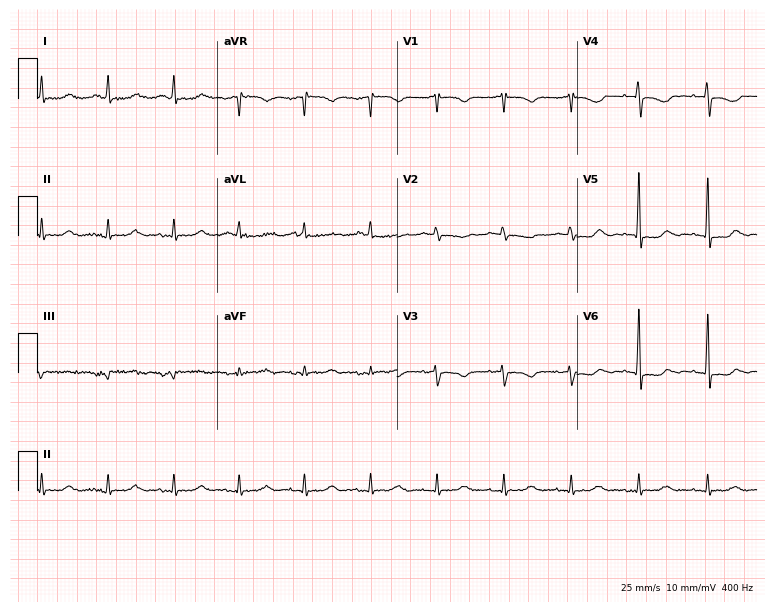
Resting 12-lead electrocardiogram (7.3-second recording at 400 Hz). Patient: a male, 67 years old. None of these six findings is recorded: first-degree AV block, right bundle branch block (RBBB), left bundle branch block (LBBB), sinus bradycardia, atrial fibrillation (AF), sinus tachycardia.